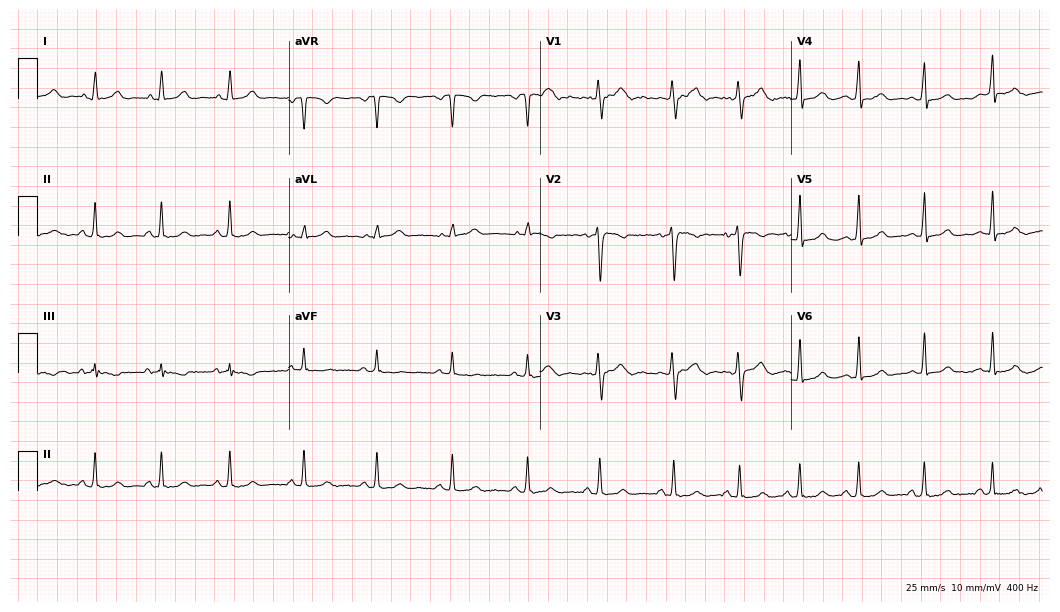
ECG — a woman, 41 years old. Labelled as a normal ECG.